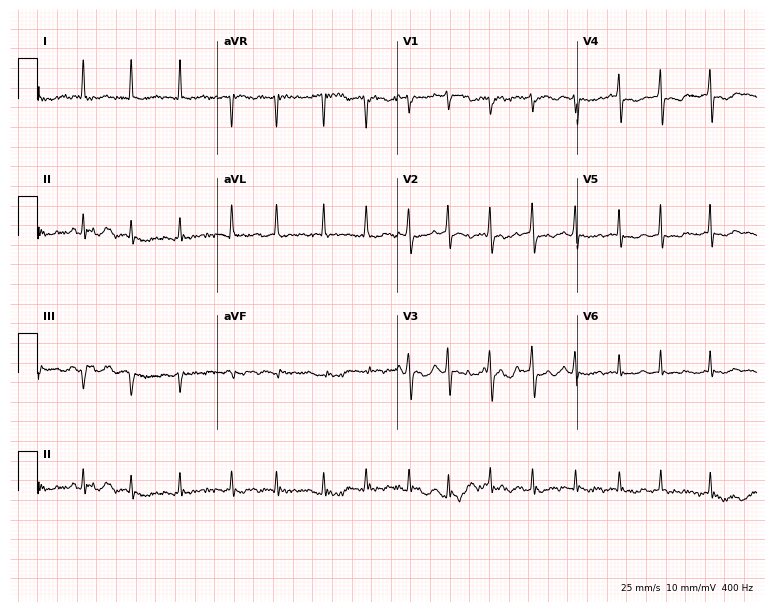
ECG (7.3-second recording at 400 Hz) — an 84-year-old female. Findings include atrial fibrillation.